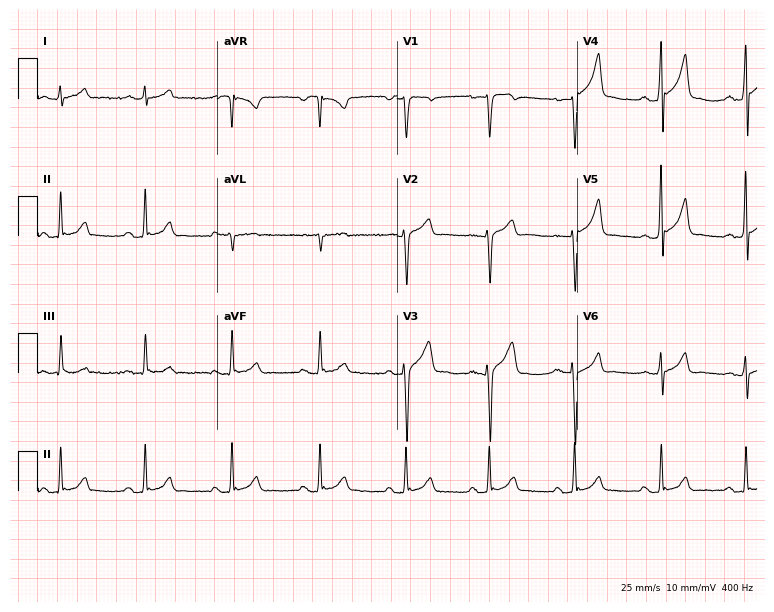
Standard 12-lead ECG recorded from a male, 47 years old. None of these six findings is recorded: first-degree AV block, right bundle branch block, left bundle branch block, sinus bradycardia, atrial fibrillation, sinus tachycardia. Findings outside these six are not listed.